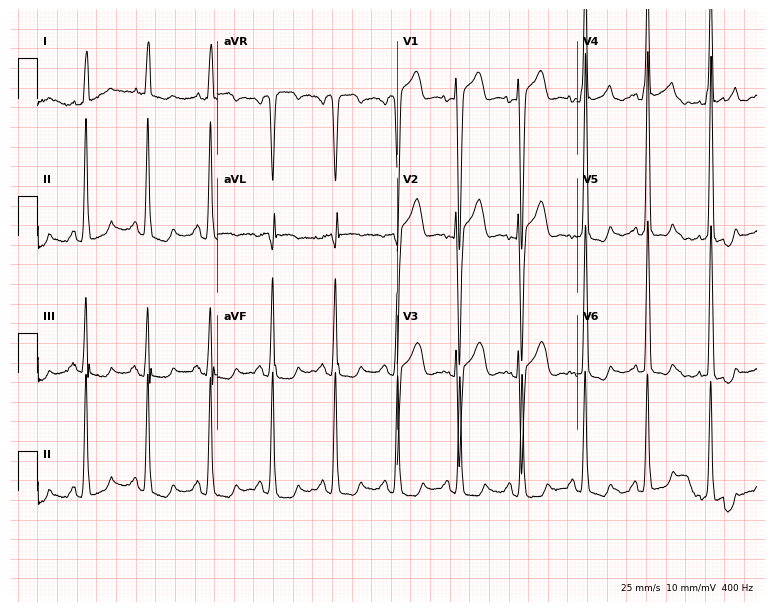
Standard 12-lead ECG recorded from a 75-year-old female patient. None of these six findings is recorded: first-degree AV block, right bundle branch block, left bundle branch block, sinus bradycardia, atrial fibrillation, sinus tachycardia.